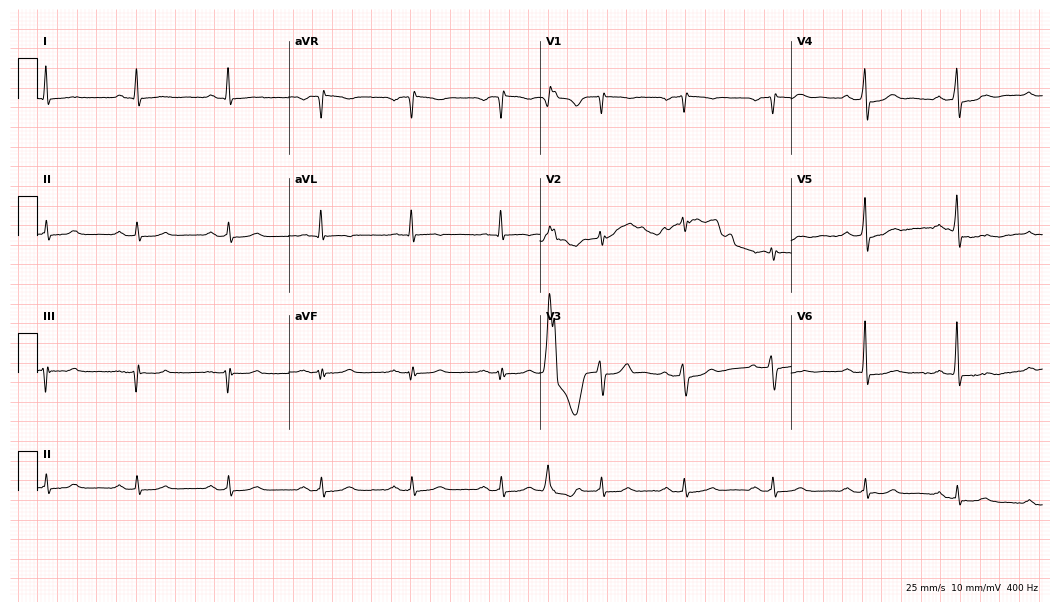
Standard 12-lead ECG recorded from a man, 65 years old. Read as a normal ECG.